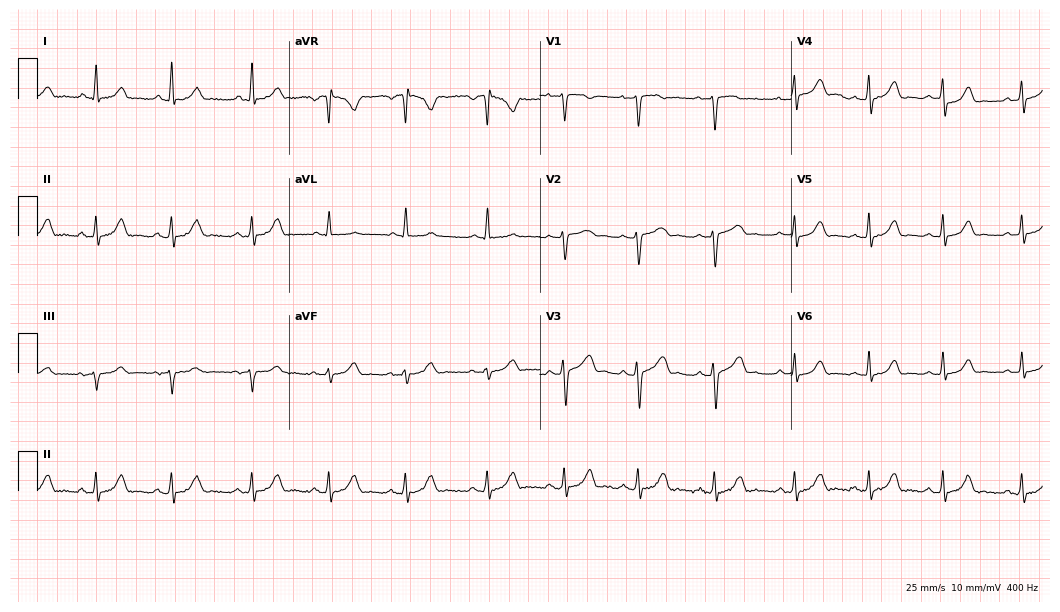
Resting 12-lead electrocardiogram. Patient: a 30-year-old female. None of these six findings is recorded: first-degree AV block, right bundle branch block (RBBB), left bundle branch block (LBBB), sinus bradycardia, atrial fibrillation (AF), sinus tachycardia.